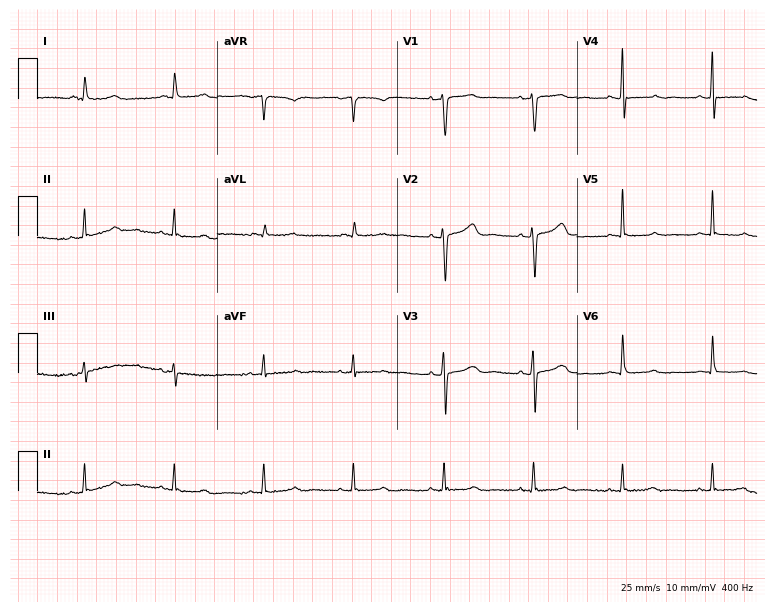
Resting 12-lead electrocardiogram (7.3-second recording at 400 Hz). Patient: a 55-year-old female. None of these six findings is recorded: first-degree AV block, right bundle branch block, left bundle branch block, sinus bradycardia, atrial fibrillation, sinus tachycardia.